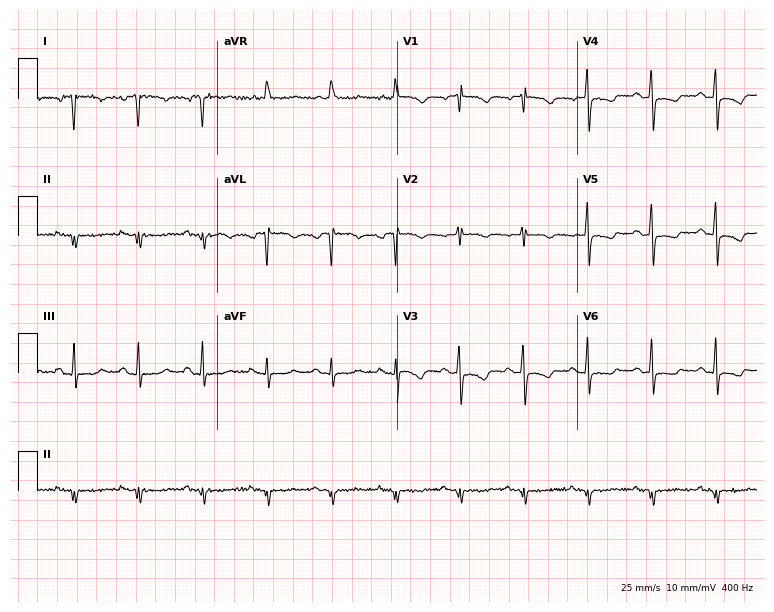
Electrocardiogram (7.3-second recording at 400 Hz), a female patient, 69 years old. Of the six screened findings (first-degree AV block, right bundle branch block (RBBB), left bundle branch block (LBBB), sinus bradycardia, atrial fibrillation (AF), sinus tachycardia), none is recorded.